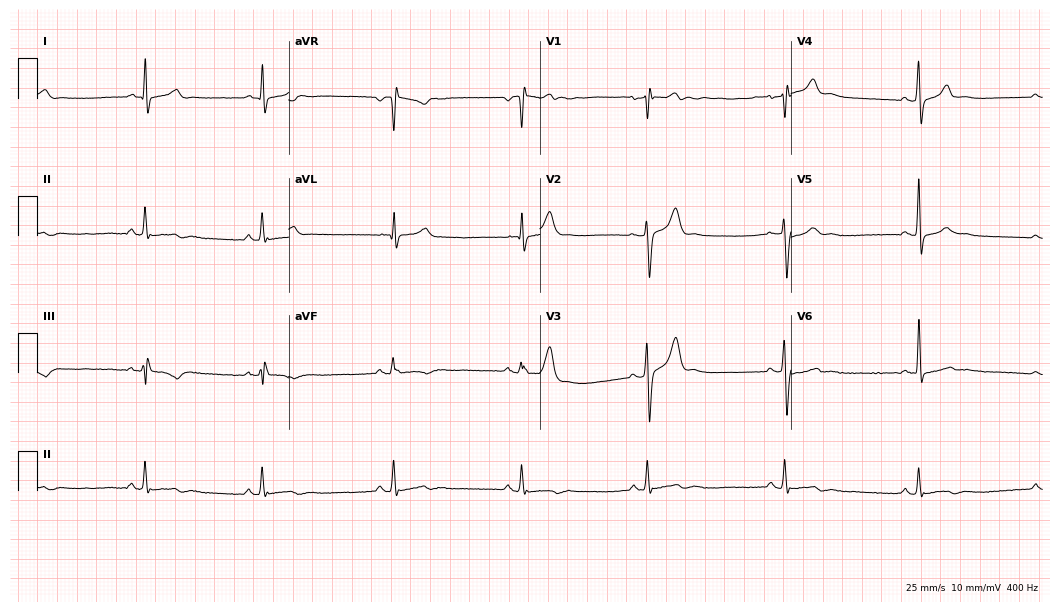
Standard 12-lead ECG recorded from a 37-year-old male patient (10.2-second recording at 400 Hz). None of these six findings is recorded: first-degree AV block, right bundle branch block, left bundle branch block, sinus bradycardia, atrial fibrillation, sinus tachycardia.